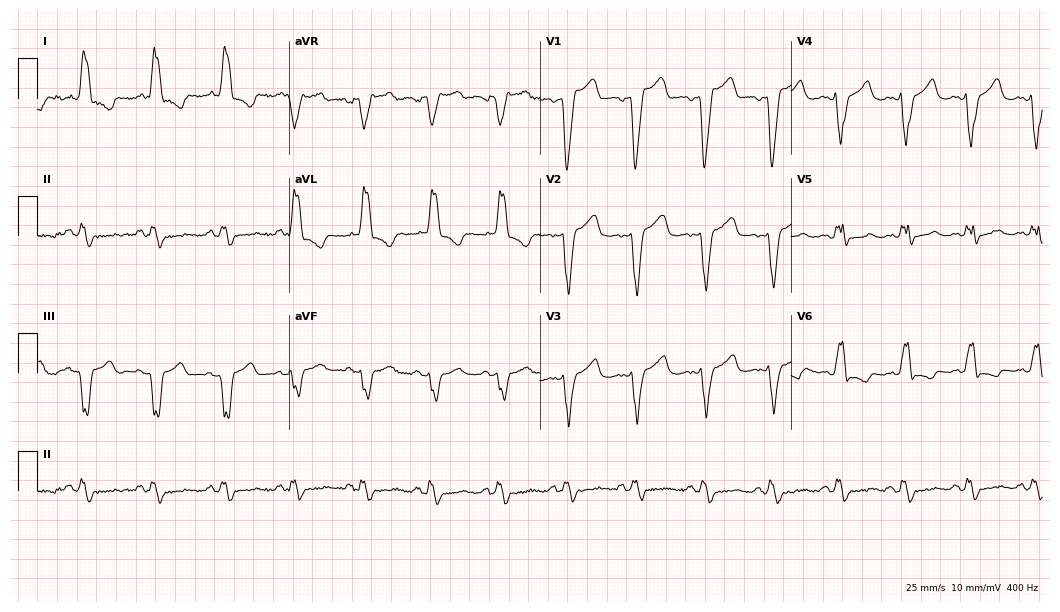
12-lead ECG from a female patient, 79 years old. Findings include left bundle branch block.